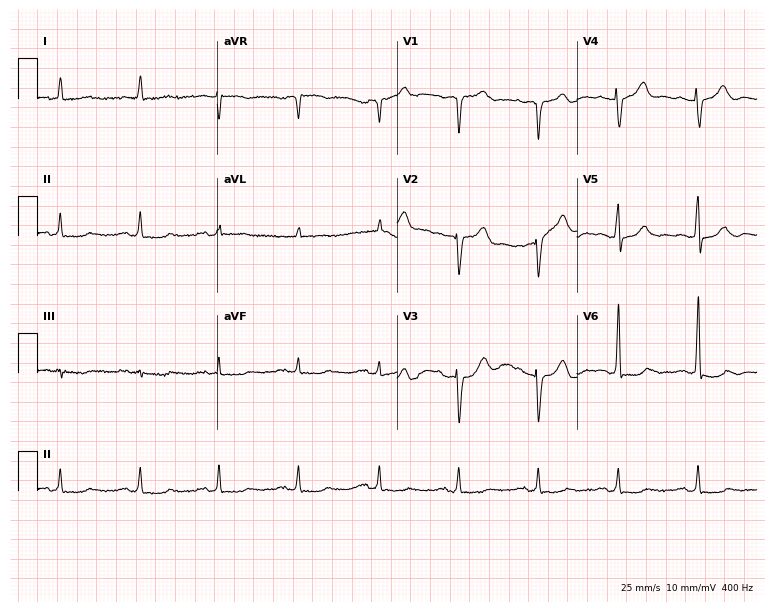
Standard 12-lead ECG recorded from a female, 79 years old. None of these six findings is recorded: first-degree AV block, right bundle branch block, left bundle branch block, sinus bradycardia, atrial fibrillation, sinus tachycardia. Findings outside these six are not listed.